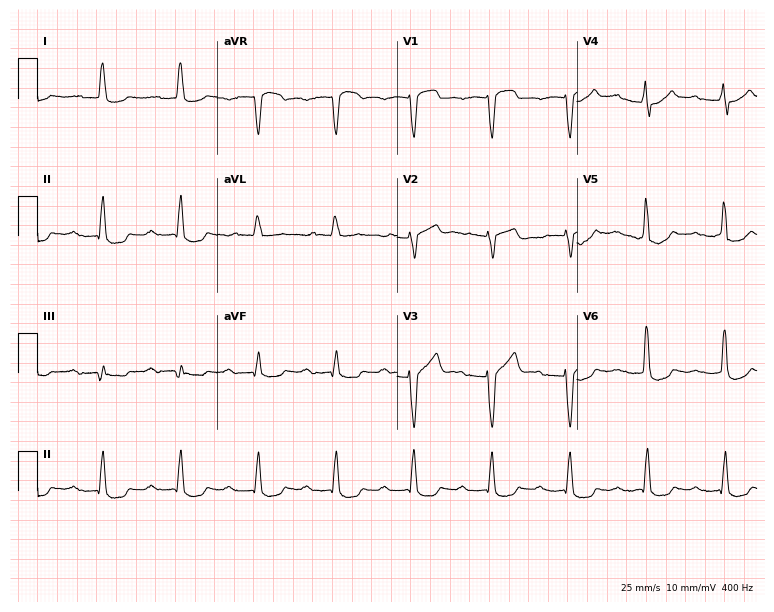
12-lead ECG from a male, 80 years old. Shows first-degree AV block.